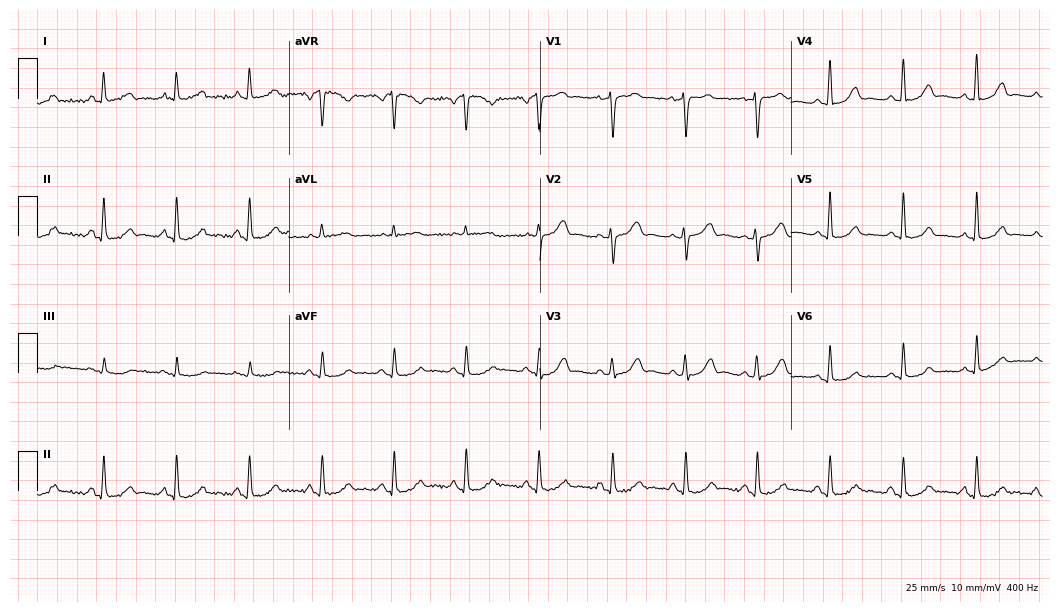
ECG — a 56-year-old female. Screened for six findings — first-degree AV block, right bundle branch block, left bundle branch block, sinus bradycardia, atrial fibrillation, sinus tachycardia — none is recorded.